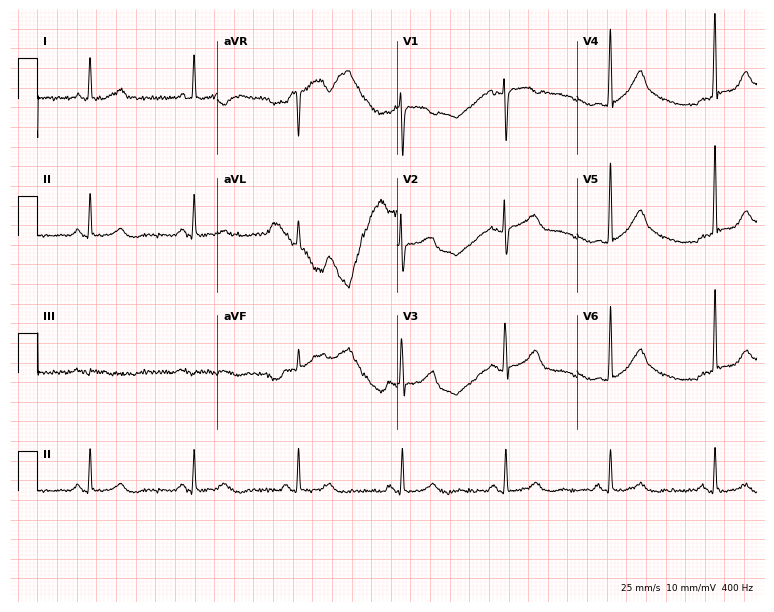
12-lead ECG from an 81-year-old female patient (7.3-second recording at 400 Hz). Recorded interpretation: within normal limits.